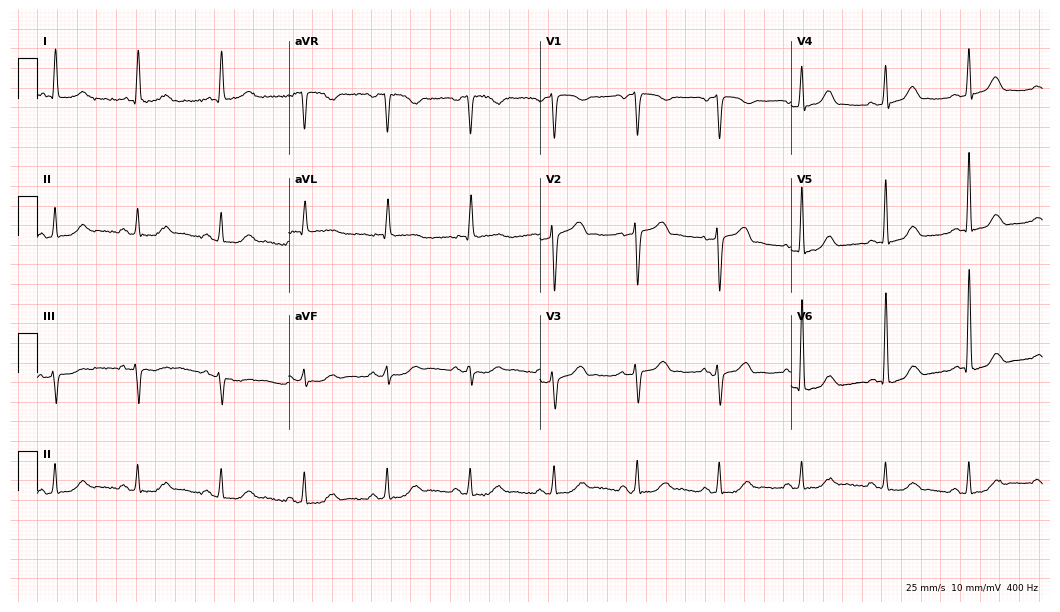
Resting 12-lead electrocardiogram (10.2-second recording at 400 Hz). Patient: a male, 82 years old. Read as a normal ECG.